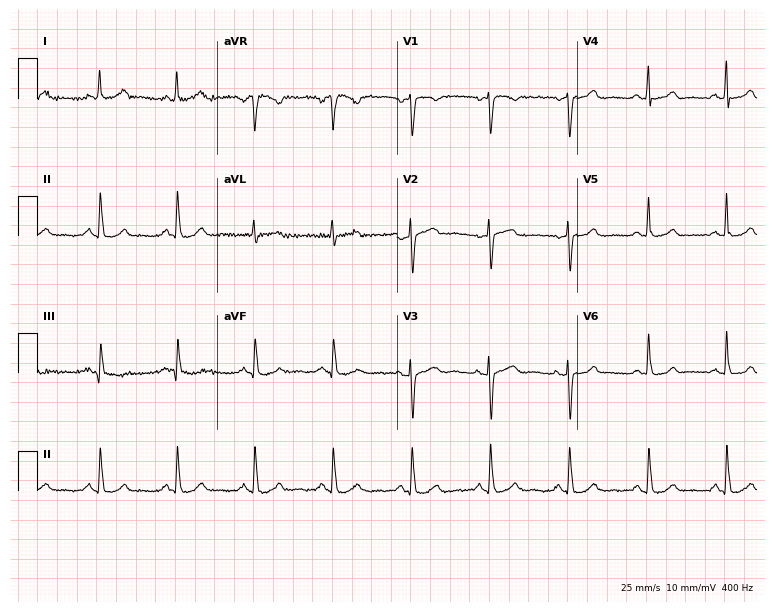
12-lead ECG (7.3-second recording at 400 Hz) from a 52-year-old female patient. Screened for six findings — first-degree AV block, right bundle branch block (RBBB), left bundle branch block (LBBB), sinus bradycardia, atrial fibrillation (AF), sinus tachycardia — none is recorded. Other findings, if any, are not listed.